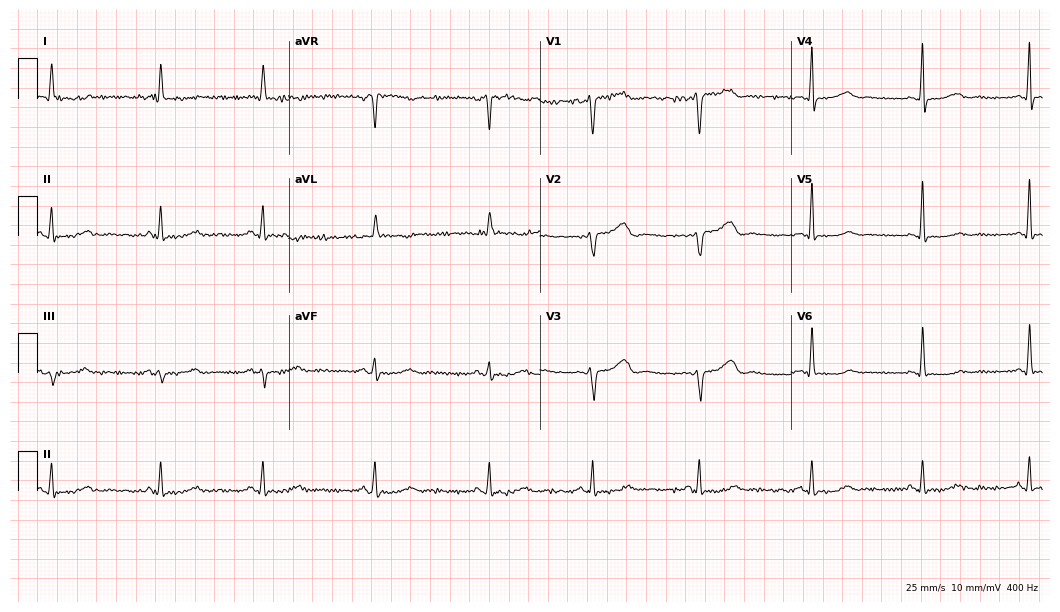
Electrocardiogram (10.2-second recording at 400 Hz), a 67-year-old female. Of the six screened findings (first-degree AV block, right bundle branch block (RBBB), left bundle branch block (LBBB), sinus bradycardia, atrial fibrillation (AF), sinus tachycardia), none is recorded. Other findings, if any, are not listed.